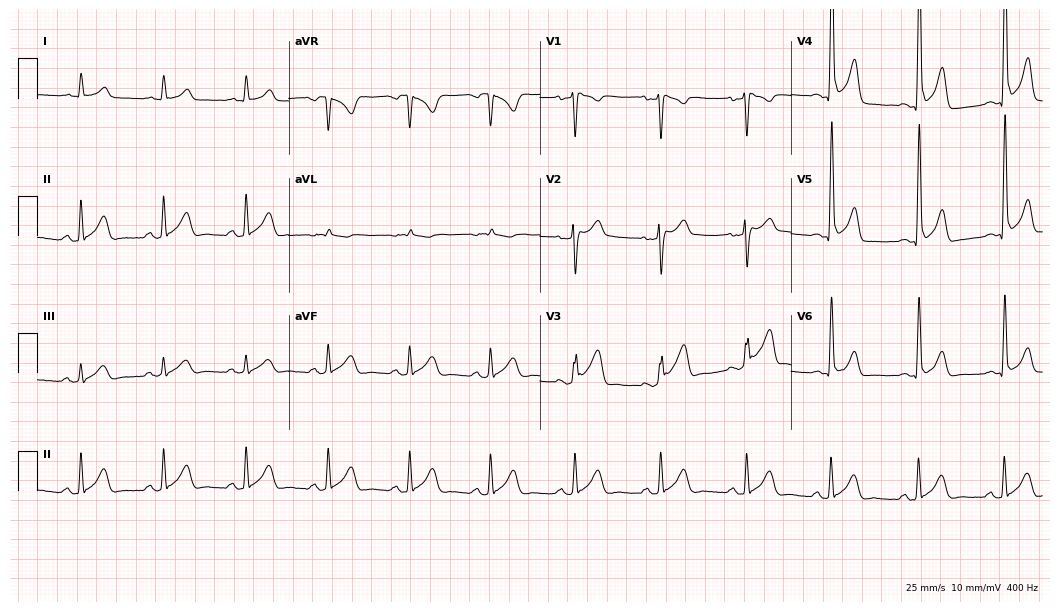
Electrocardiogram, a 41-year-old male patient. Overall reading on record: normal ECG.